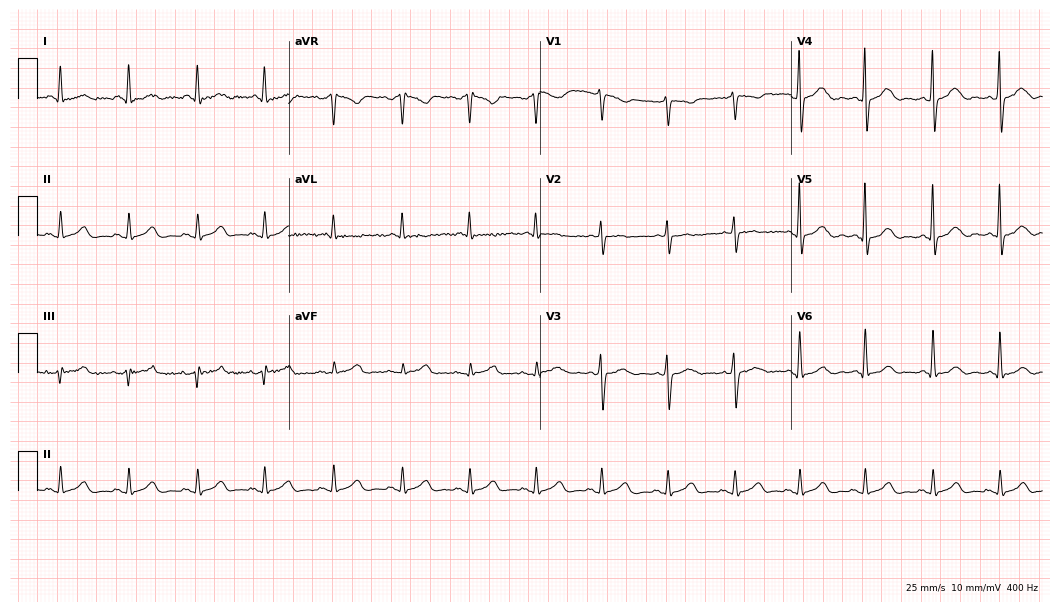
Standard 12-lead ECG recorded from a 22-year-old man (10.2-second recording at 400 Hz). Read as a normal ECG.